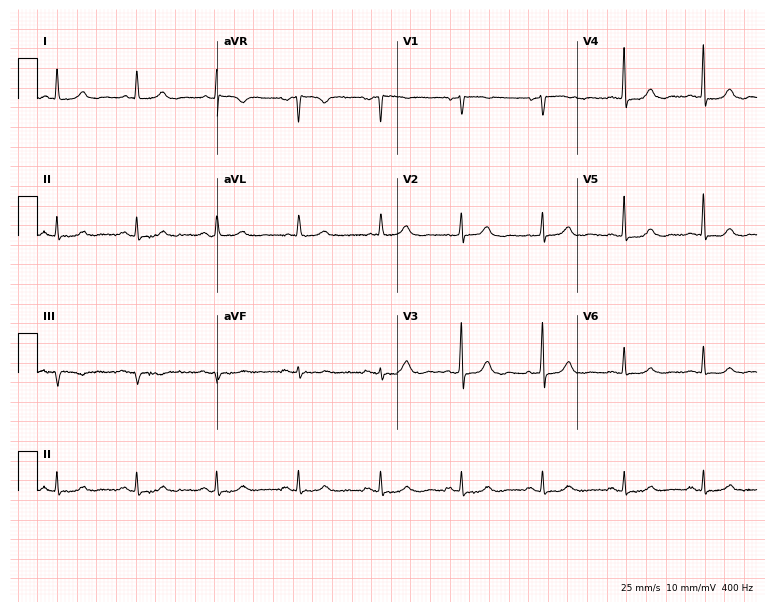
Electrocardiogram (7.3-second recording at 400 Hz), a female patient, 65 years old. Of the six screened findings (first-degree AV block, right bundle branch block, left bundle branch block, sinus bradycardia, atrial fibrillation, sinus tachycardia), none is recorded.